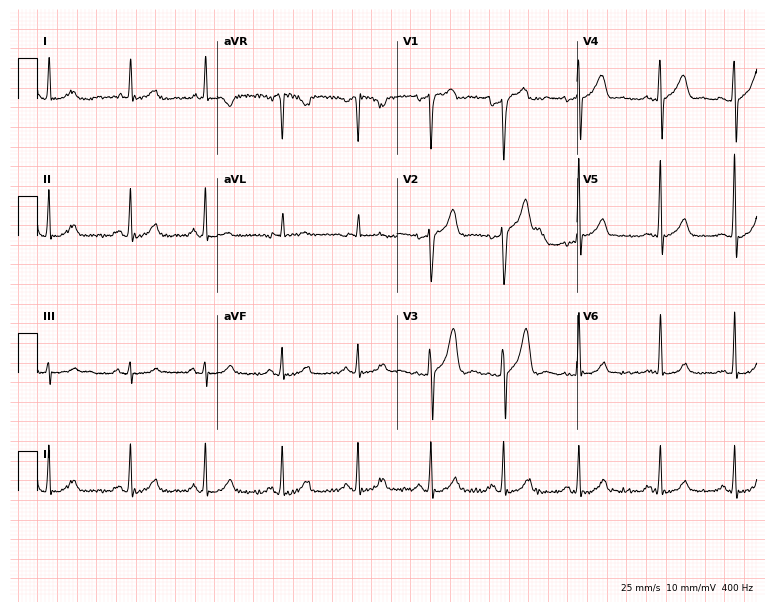
12-lead ECG from a man, 41 years old. Labelled as a normal ECG.